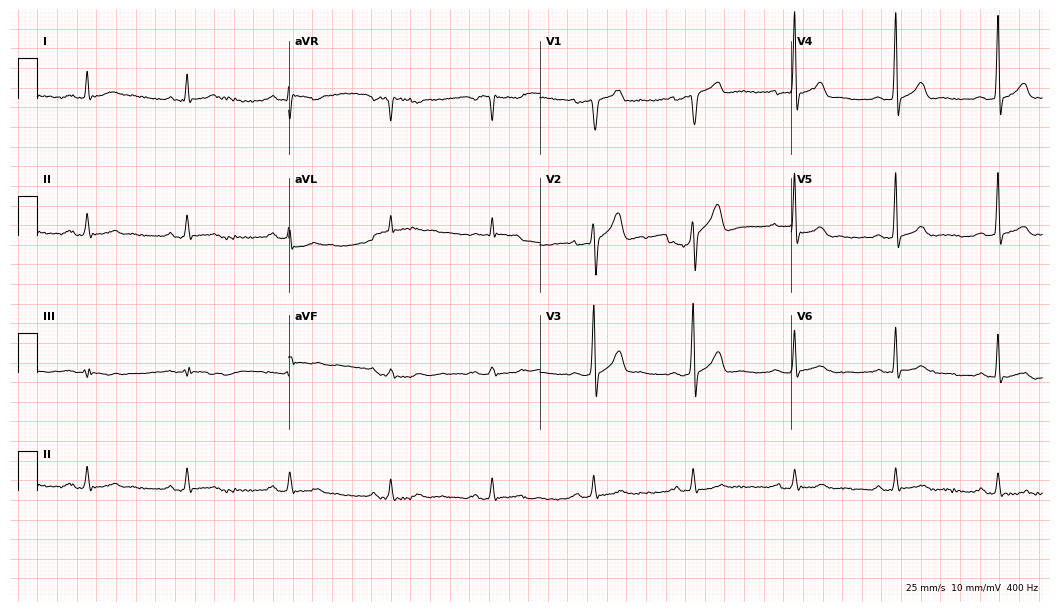
12-lead ECG from a male patient, 63 years old. Recorded interpretation: within normal limits.